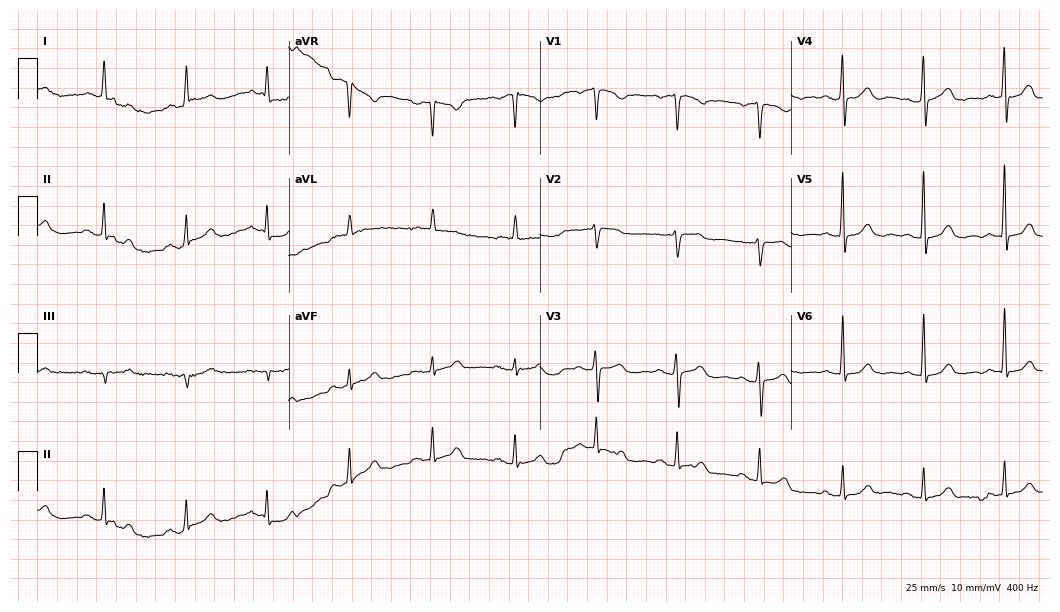
ECG — a 77-year-old female. Labelled as a normal ECG.